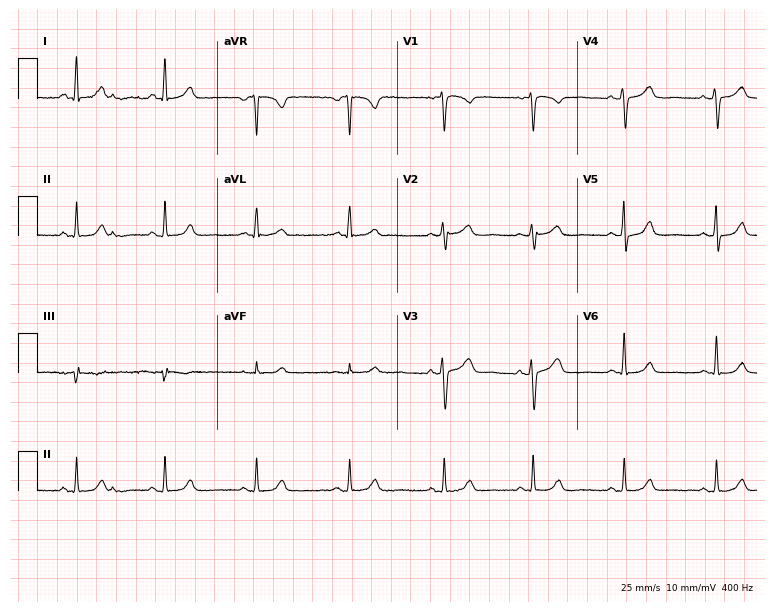
Standard 12-lead ECG recorded from a woman, 59 years old. Read as a normal ECG.